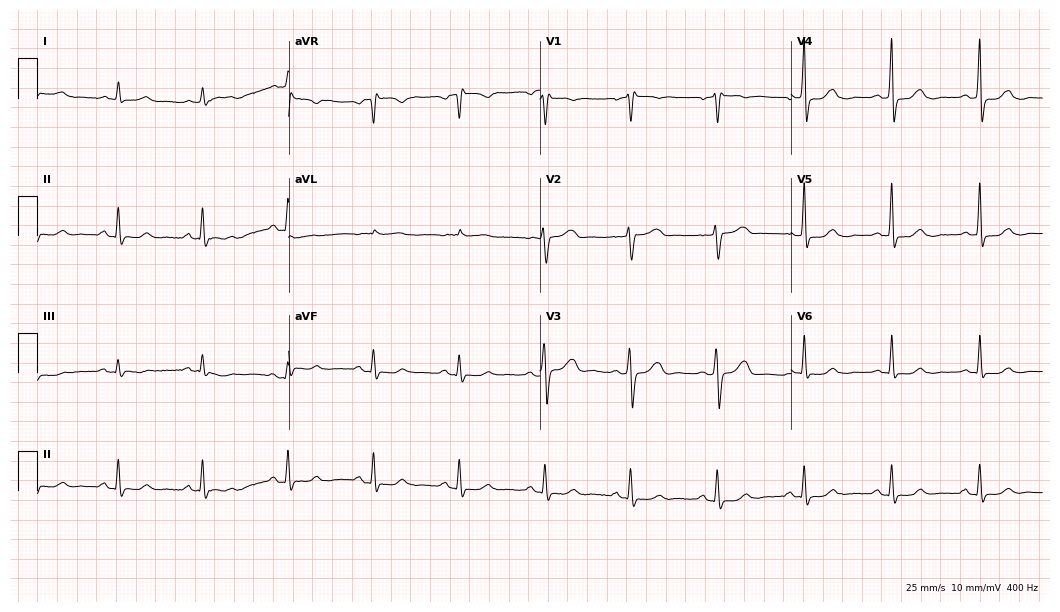
Resting 12-lead electrocardiogram (10.2-second recording at 400 Hz). Patient: a 69-year-old female. None of these six findings is recorded: first-degree AV block, right bundle branch block, left bundle branch block, sinus bradycardia, atrial fibrillation, sinus tachycardia. Only these six findings were labelled.